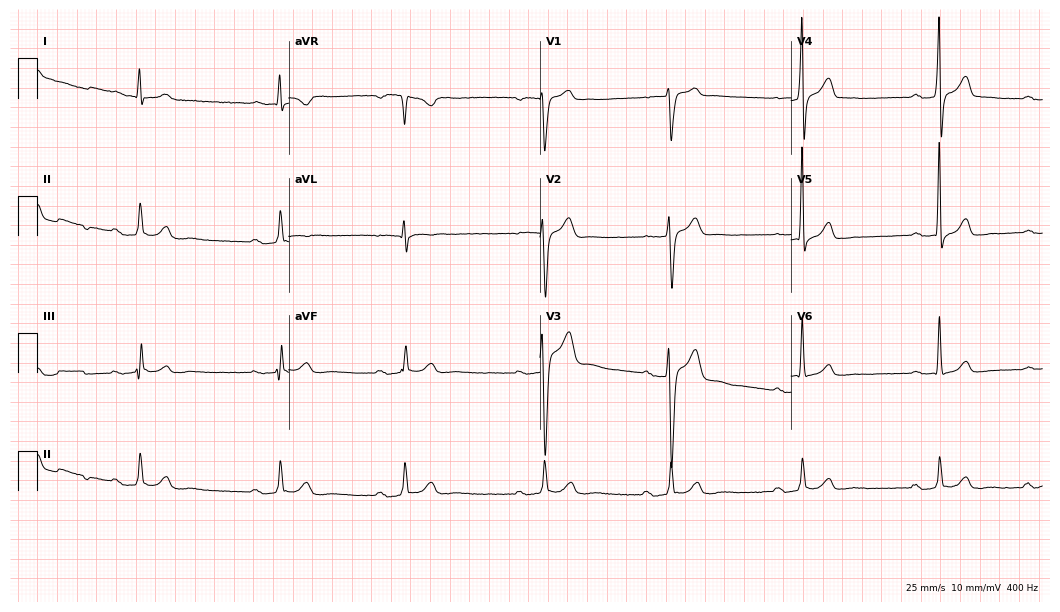
12-lead ECG from a 52-year-old male. Shows first-degree AV block, sinus bradycardia (a sinus rate of 50 beats per minute or less).